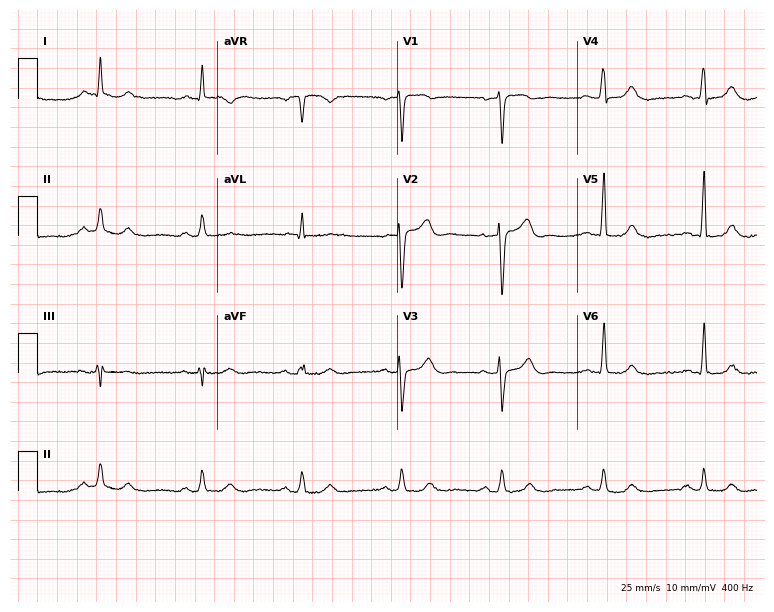
Electrocardiogram, a male, 67 years old. Overall reading on record: normal ECG.